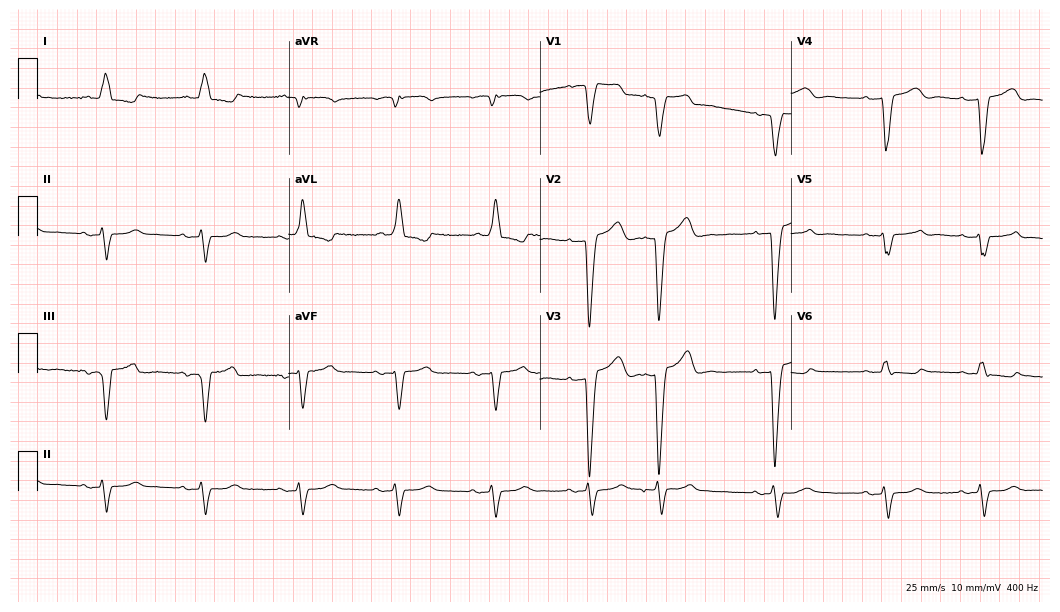
Standard 12-lead ECG recorded from a woman, 82 years old. The tracing shows left bundle branch block (LBBB).